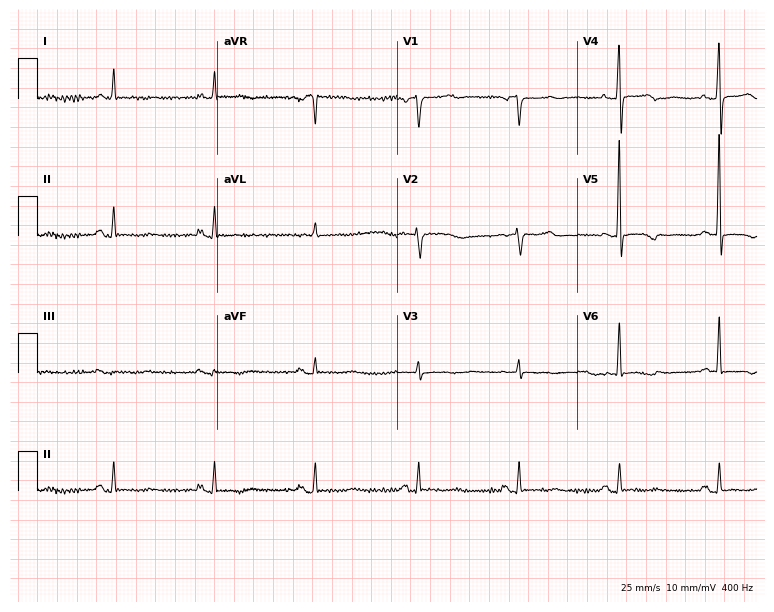
12-lead ECG from a female, 60 years old. No first-degree AV block, right bundle branch block, left bundle branch block, sinus bradycardia, atrial fibrillation or sinus tachycardia recorded for this tracing.